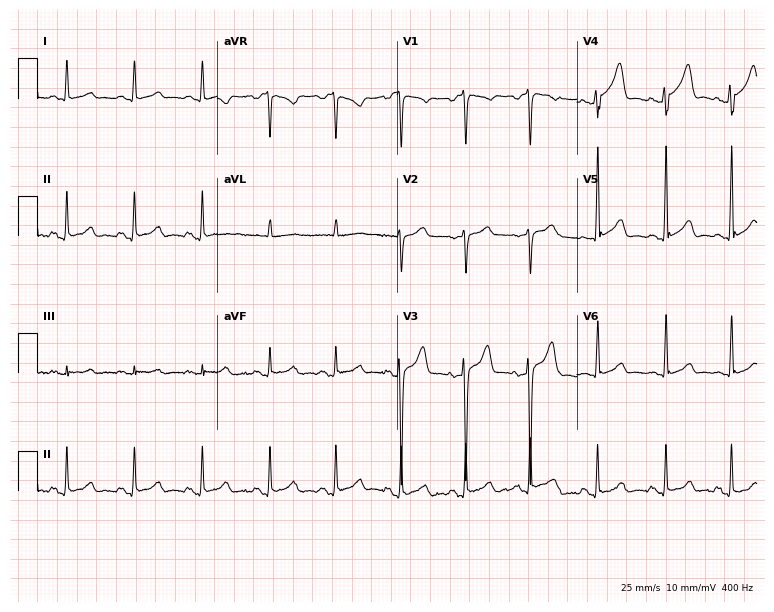
ECG (7.3-second recording at 400 Hz) — a 37-year-old man. Screened for six findings — first-degree AV block, right bundle branch block (RBBB), left bundle branch block (LBBB), sinus bradycardia, atrial fibrillation (AF), sinus tachycardia — none is recorded. Other findings, if any, are not listed.